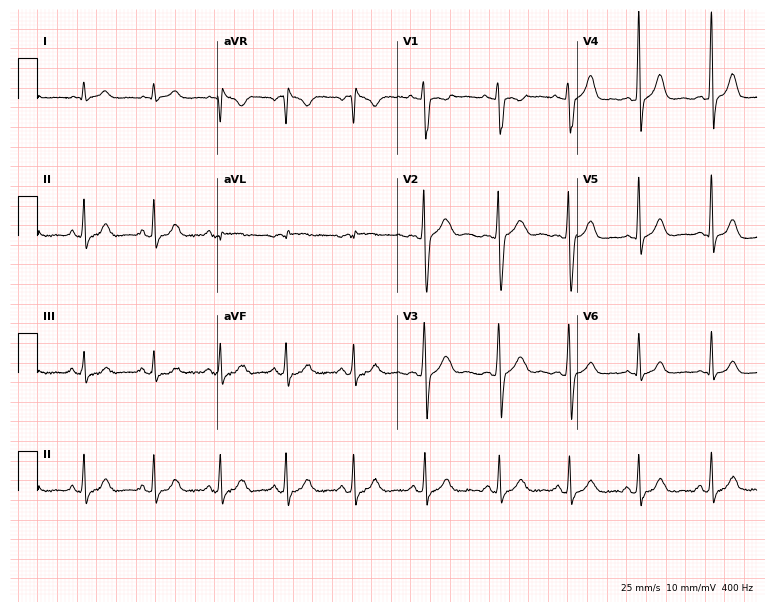
12-lead ECG (7.3-second recording at 400 Hz) from a 20-year-old woman. Labelled as a normal ECG.